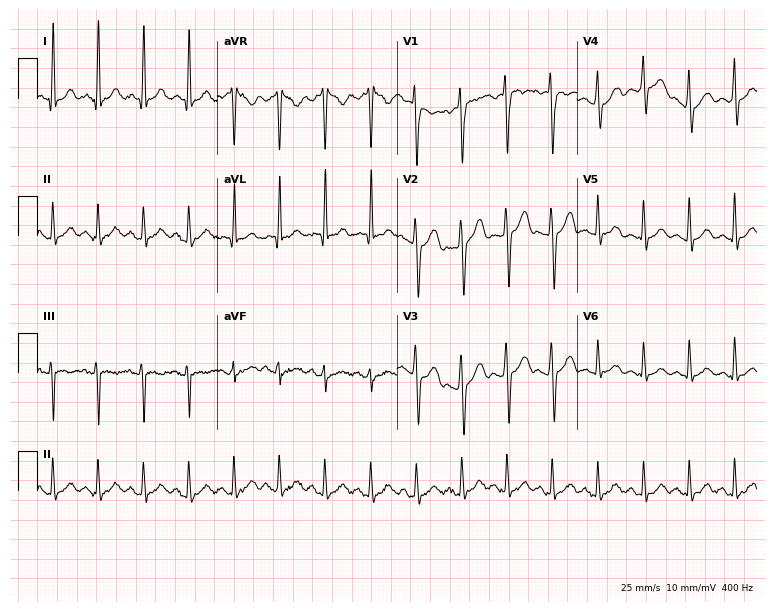
Resting 12-lead electrocardiogram (7.3-second recording at 400 Hz). Patient: a 37-year-old man. The tracing shows sinus tachycardia (a sinus rate of 100 beats per minute or more).